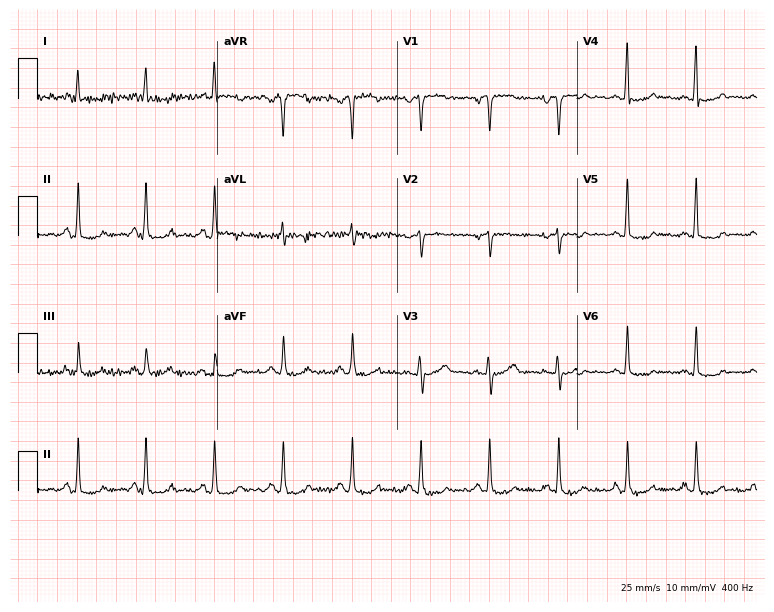
Electrocardiogram (7.3-second recording at 400 Hz), a male, 72 years old. Of the six screened findings (first-degree AV block, right bundle branch block (RBBB), left bundle branch block (LBBB), sinus bradycardia, atrial fibrillation (AF), sinus tachycardia), none is recorded.